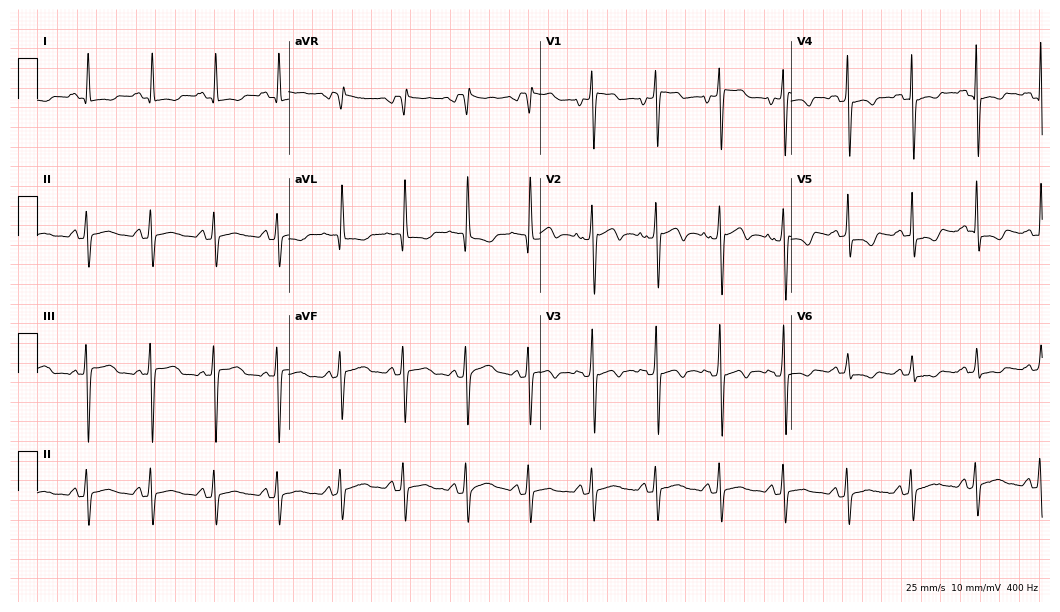
Electrocardiogram, a 26-year-old male. Of the six screened findings (first-degree AV block, right bundle branch block (RBBB), left bundle branch block (LBBB), sinus bradycardia, atrial fibrillation (AF), sinus tachycardia), none is recorded. Findings outside these six are not listed.